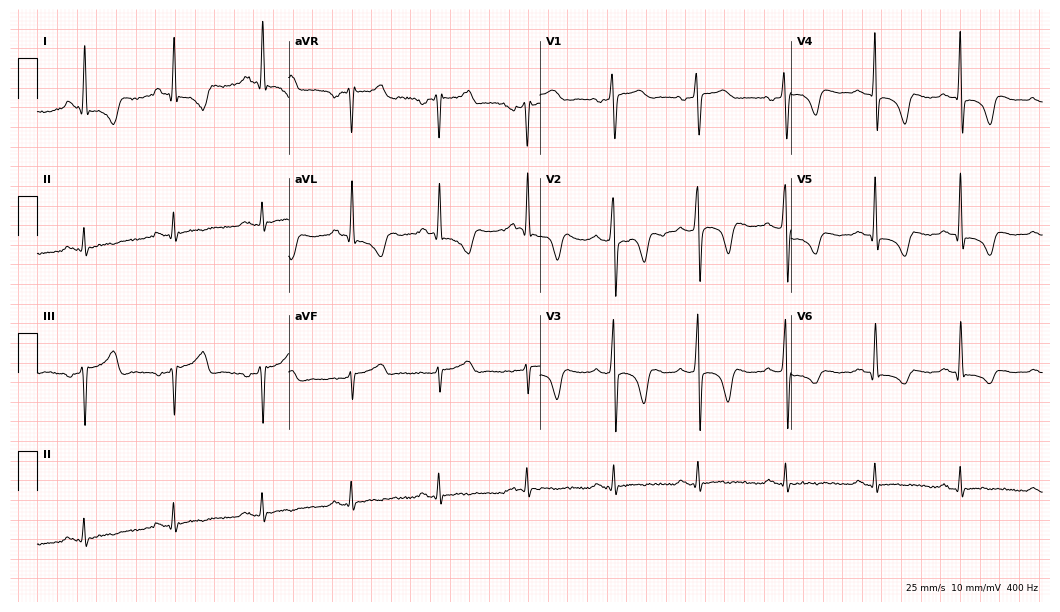
Resting 12-lead electrocardiogram. Patient: a male, 32 years old. None of these six findings is recorded: first-degree AV block, right bundle branch block, left bundle branch block, sinus bradycardia, atrial fibrillation, sinus tachycardia.